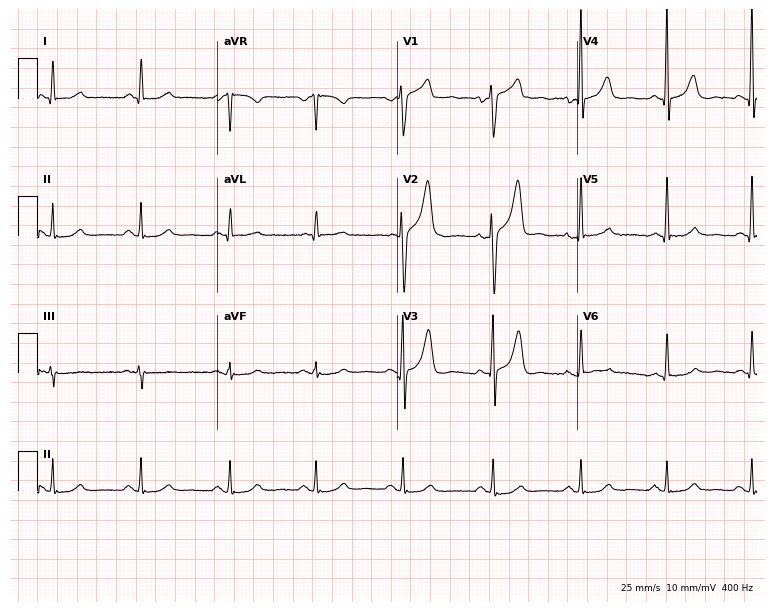
Resting 12-lead electrocardiogram (7.3-second recording at 400 Hz). Patient: a 57-year-old male. None of these six findings is recorded: first-degree AV block, right bundle branch block, left bundle branch block, sinus bradycardia, atrial fibrillation, sinus tachycardia. Other findings, if any, are not listed.